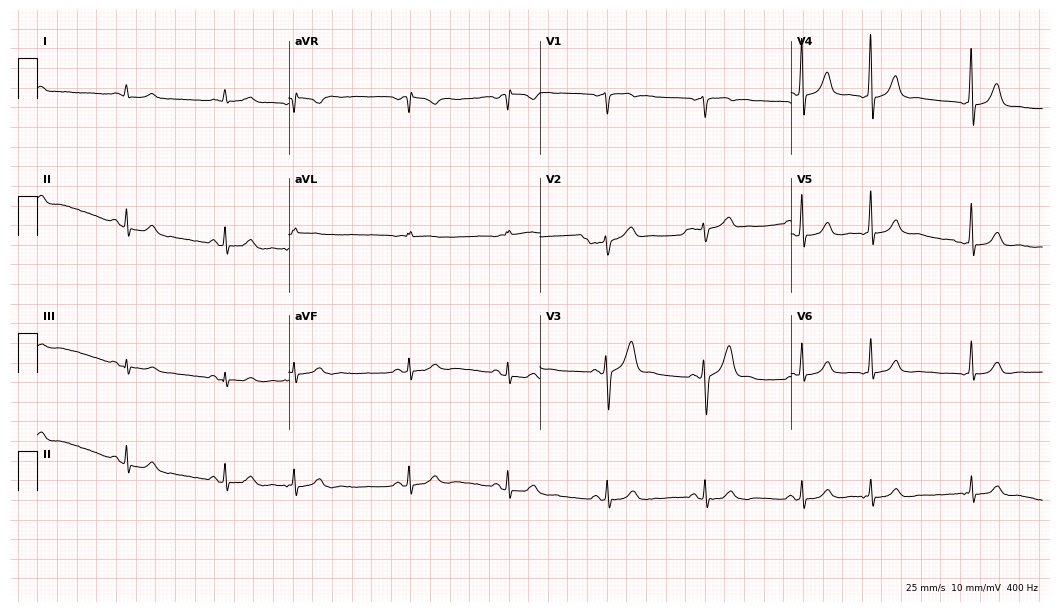
Resting 12-lead electrocardiogram. Patient: a male, 60 years old. None of these six findings is recorded: first-degree AV block, right bundle branch block, left bundle branch block, sinus bradycardia, atrial fibrillation, sinus tachycardia.